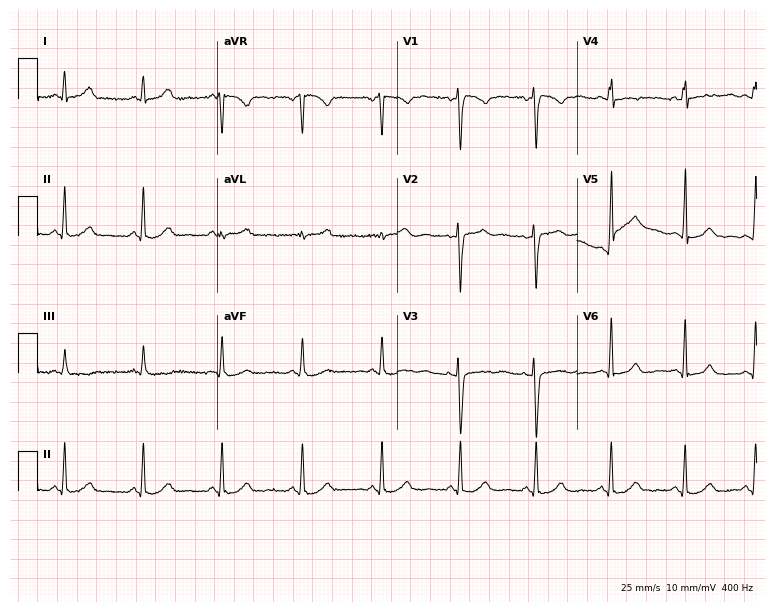
12-lead ECG from a female, 28 years old. Labelled as a normal ECG.